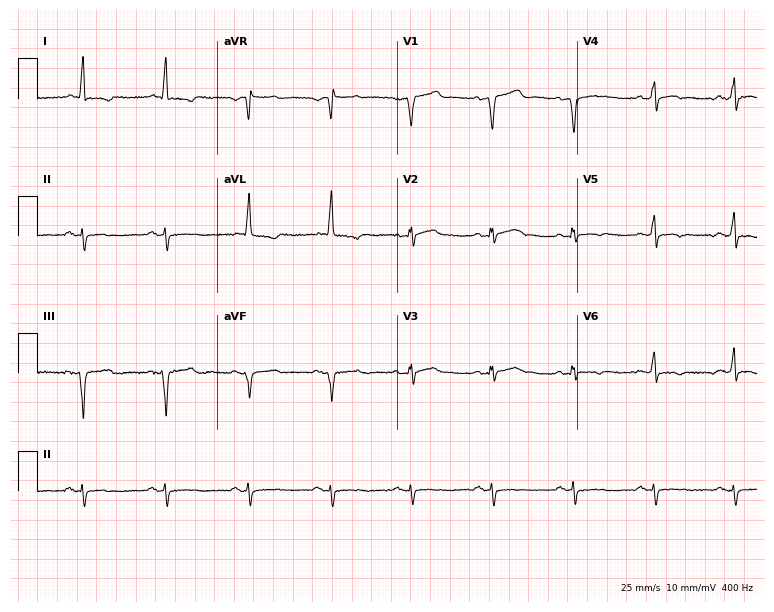
ECG (7.3-second recording at 400 Hz) — a man, 72 years old. Screened for six findings — first-degree AV block, right bundle branch block, left bundle branch block, sinus bradycardia, atrial fibrillation, sinus tachycardia — none is recorded.